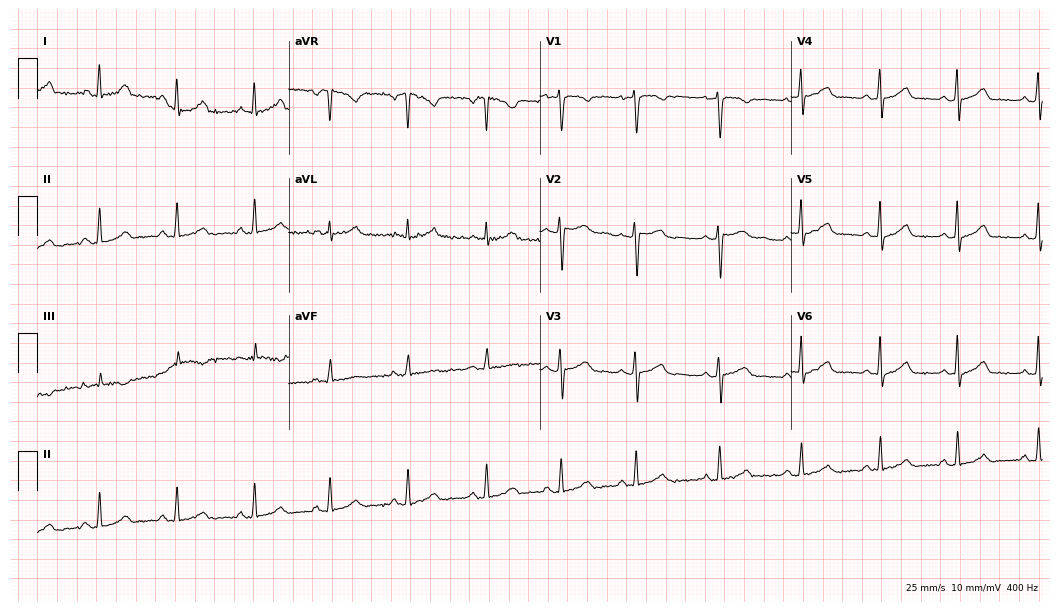
12-lead ECG from a 33-year-old female patient. Recorded interpretation: within normal limits.